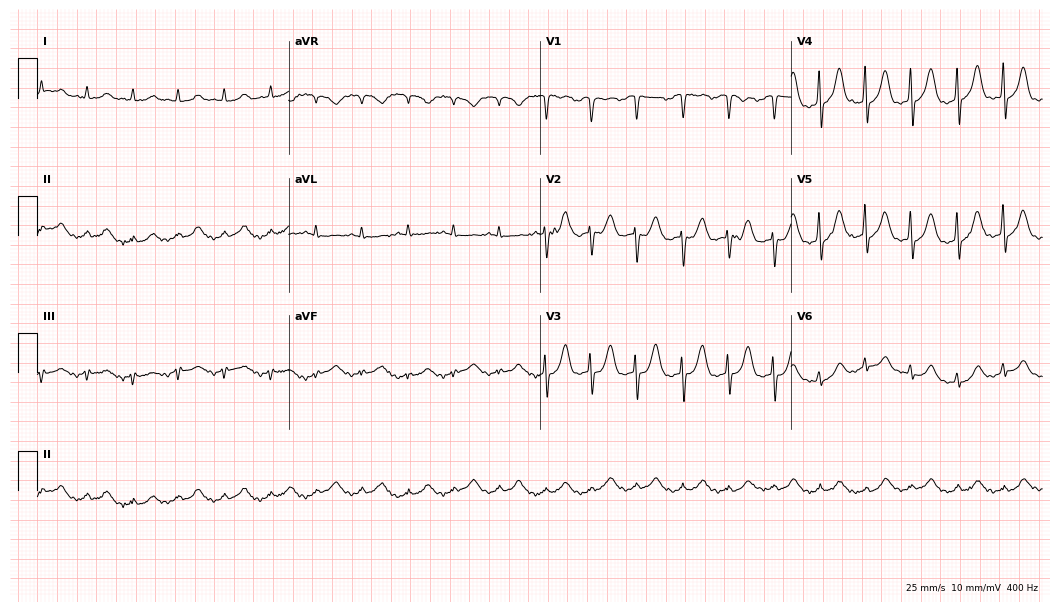
12-lead ECG from a 68-year-old woman. Shows sinus tachycardia (a sinus rate of 100 beats per minute or more).